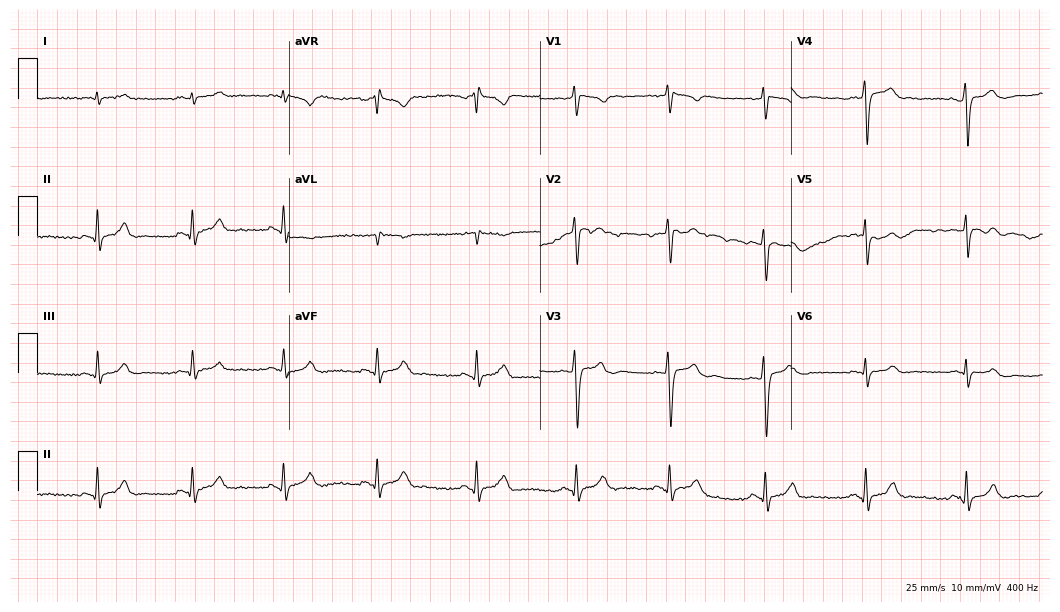
Standard 12-lead ECG recorded from a man, 23 years old (10.2-second recording at 400 Hz). None of these six findings is recorded: first-degree AV block, right bundle branch block, left bundle branch block, sinus bradycardia, atrial fibrillation, sinus tachycardia.